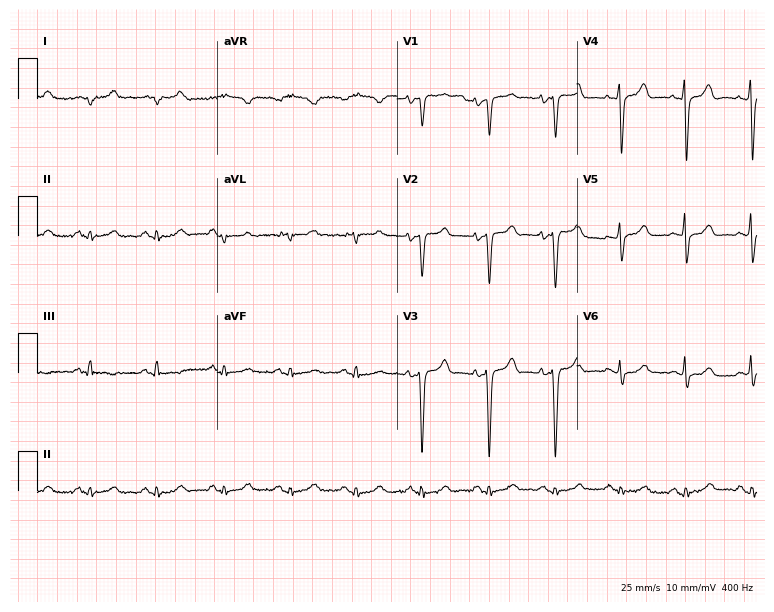
Standard 12-lead ECG recorded from a 67-year-old female patient. None of these six findings is recorded: first-degree AV block, right bundle branch block (RBBB), left bundle branch block (LBBB), sinus bradycardia, atrial fibrillation (AF), sinus tachycardia.